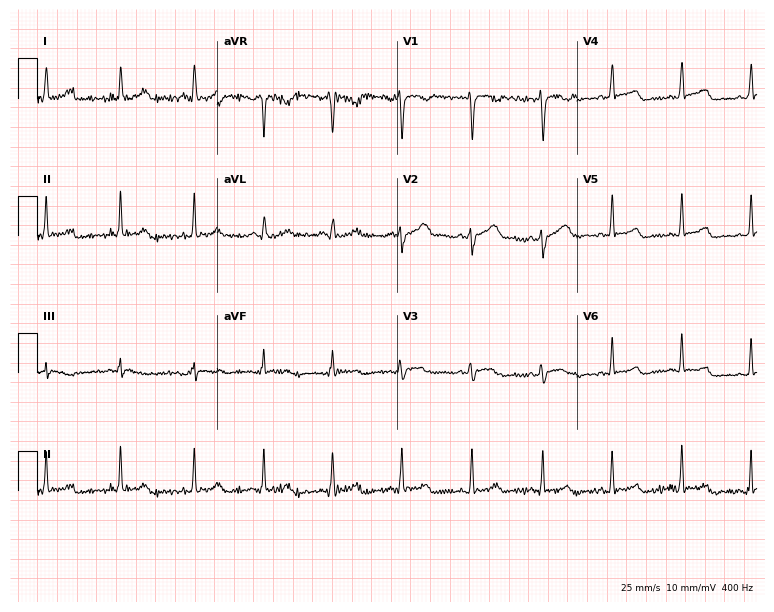
Resting 12-lead electrocardiogram. Patient: a 22-year-old female. None of these six findings is recorded: first-degree AV block, right bundle branch block, left bundle branch block, sinus bradycardia, atrial fibrillation, sinus tachycardia.